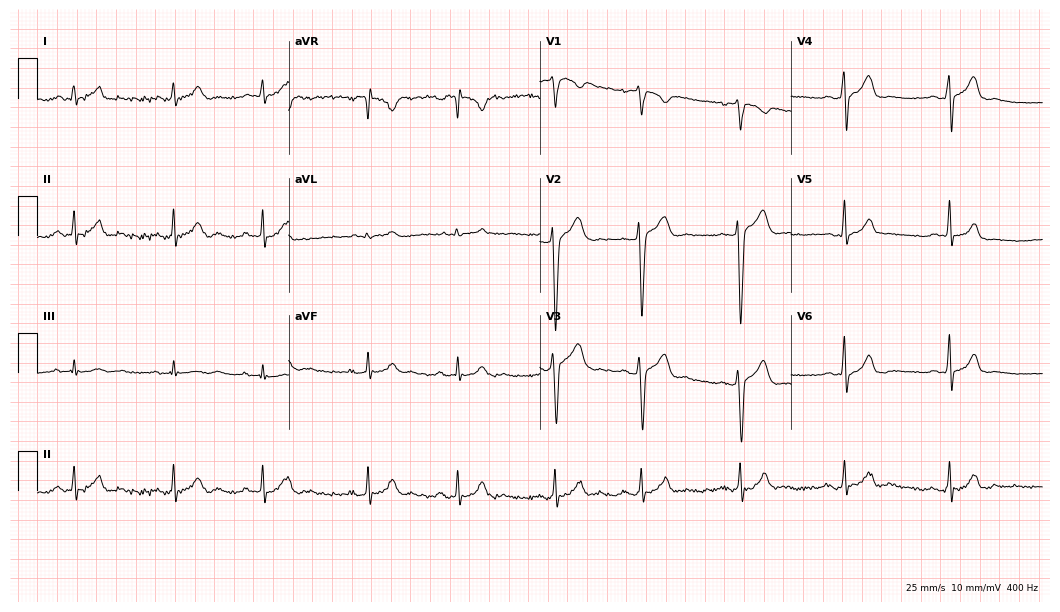
ECG (10.2-second recording at 400 Hz) — an 18-year-old male patient. Labelled as a normal ECG.